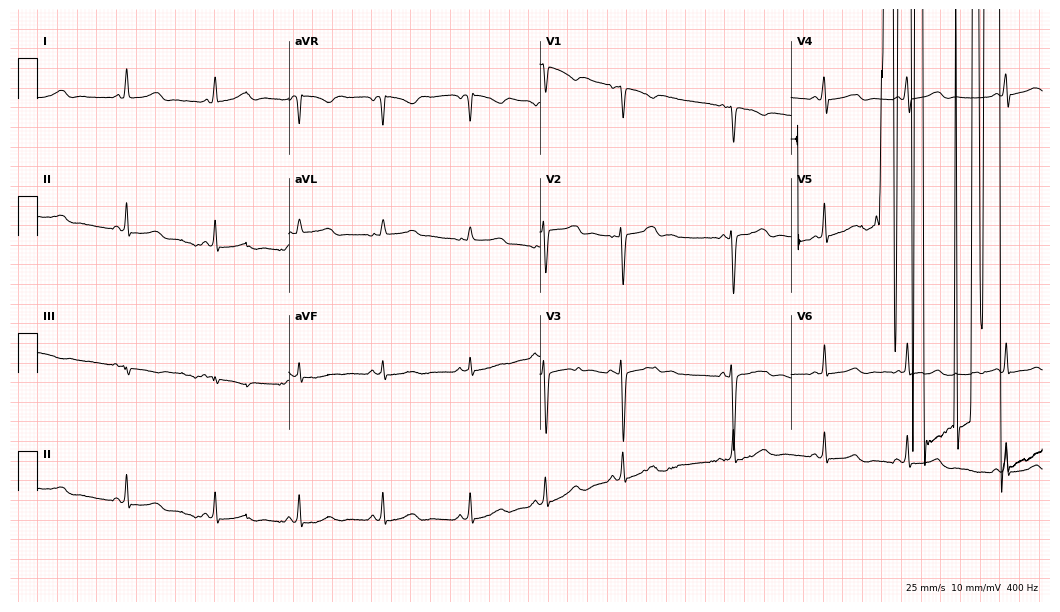
12-lead ECG from a female patient, 21 years old. Screened for six findings — first-degree AV block, right bundle branch block, left bundle branch block, sinus bradycardia, atrial fibrillation, sinus tachycardia — none is recorded. Other findings, if any, are not listed.